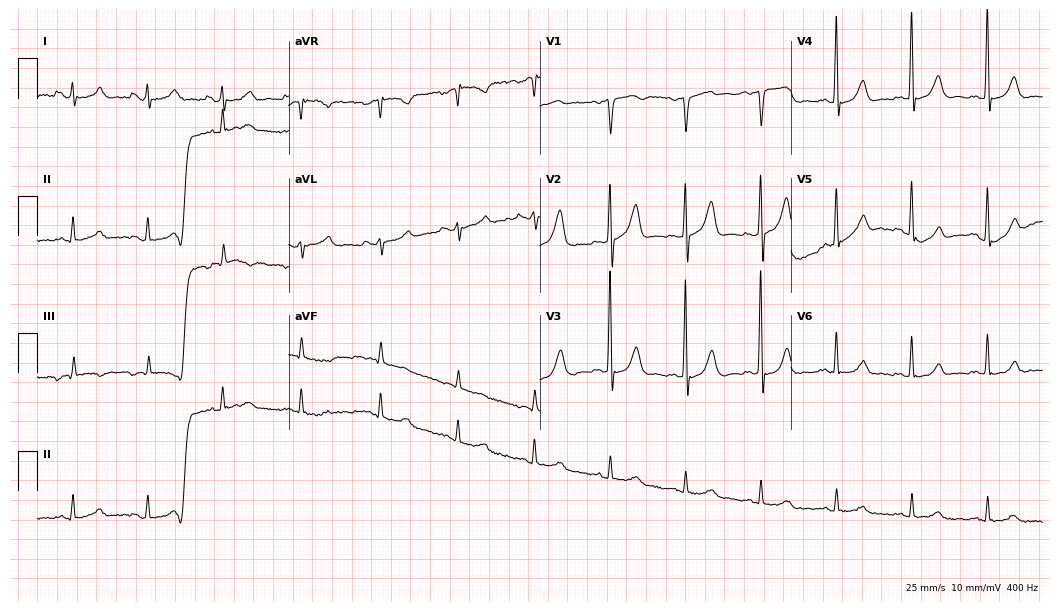
12-lead ECG from a man, 61 years old. Recorded interpretation: within normal limits.